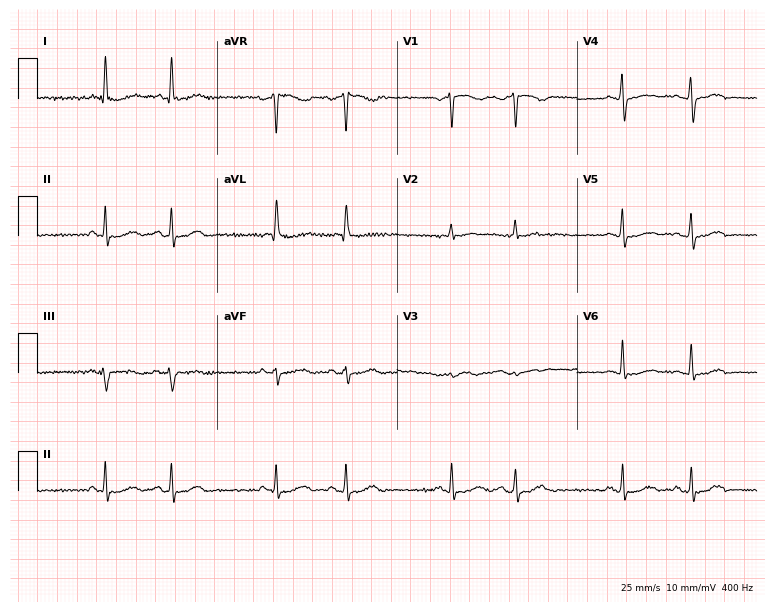
12-lead ECG from a man, 65 years old. Screened for six findings — first-degree AV block, right bundle branch block, left bundle branch block, sinus bradycardia, atrial fibrillation, sinus tachycardia — none is recorded.